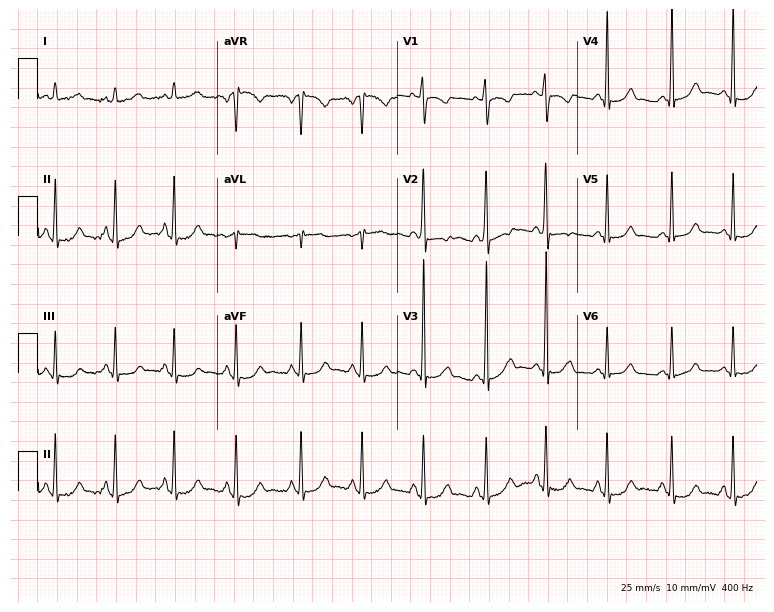
Standard 12-lead ECG recorded from a female, 28 years old (7.3-second recording at 400 Hz). None of these six findings is recorded: first-degree AV block, right bundle branch block (RBBB), left bundle branch block (LBBB), sinus bradycardia, atrial fibrillation (AF), sinus tachycardia. Findings outside these six are not listed.